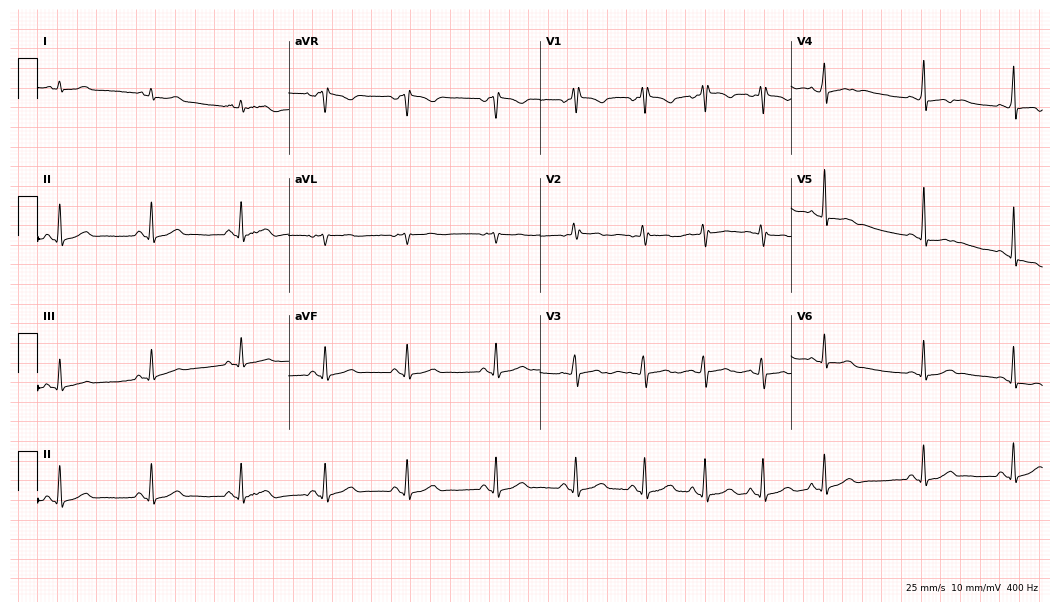
12-lead ECG from a female patient, 19 years old. Recorded interpretation: within normal limits.